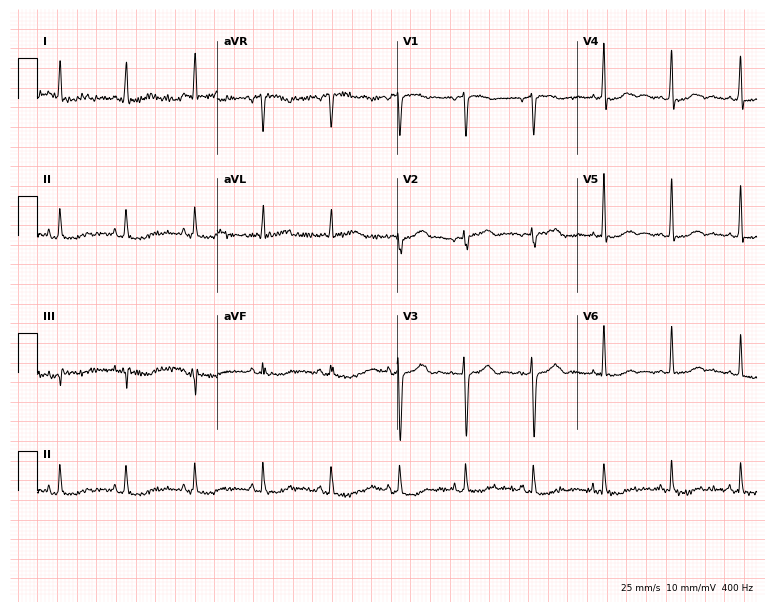
Standard 12-lead ECG recorded from a 46-year-old female patient (7.3-second recording at 400 Hz). None of these six findings is recorded: first-degree AV block, right bundle branch block, left bundle branch block, sinus bradycardia, atrial fibrillation, sinus tachycardia. Other findings, if any, are not listed.